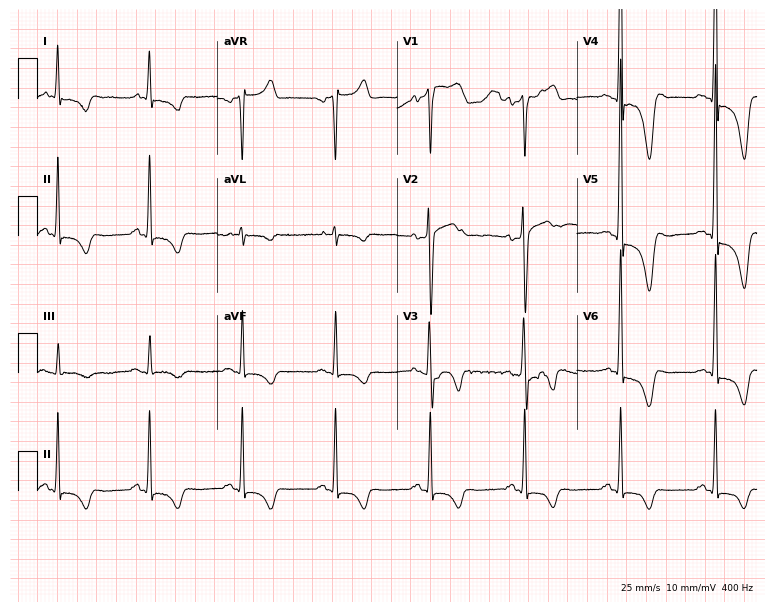
Standard 12-lead ECG recorded from a 67-year-old man (7.3-second recording at 400 Hz). None of these six findings is recorded: first-degree AV block, right bundle branch block (RBBB), left bundle branch block (LBBB), sinus bradycardia, atrial fibrillation (AF), sinus tachycardia. Other findings, if any, are not listed.